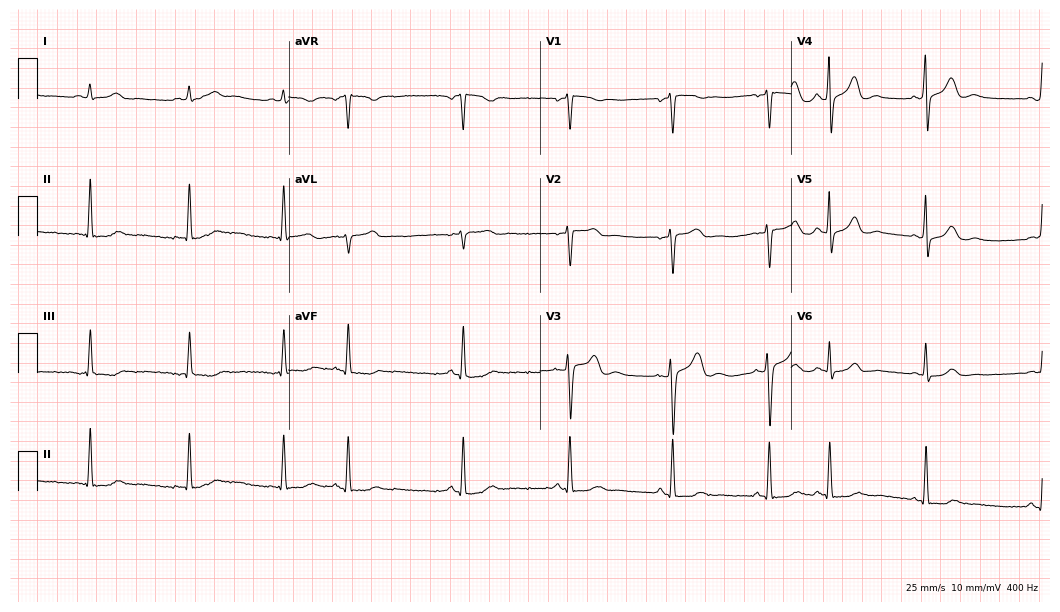
ECG (10.2-second recording at 400 Hz) — a female, 57 years old. Screened for six findings — first-degree AV block, right bundle branch block (RBBB), left bundle branch block (LBBB), sinus bradycardia, atrial fibrillation (AF), sinus tachycardia — none is recorded.